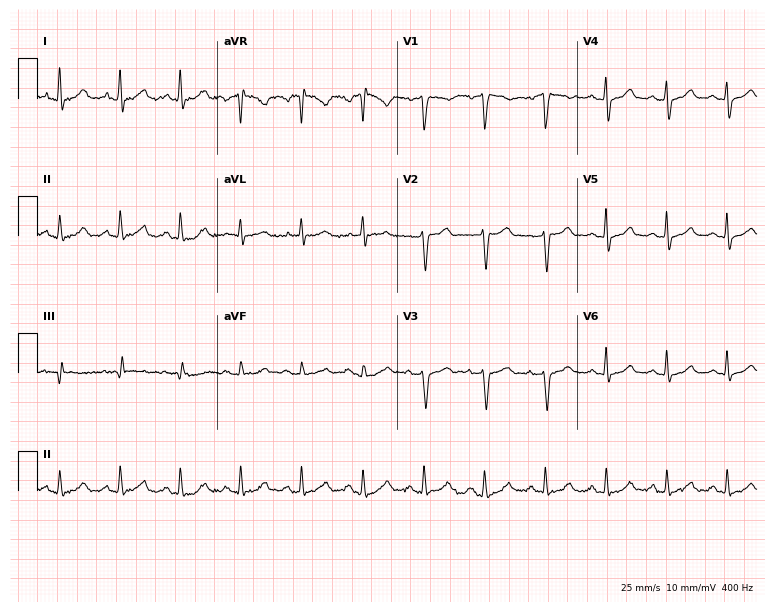
Standard 12-lead ECG recorded from a female patient, 41 years old (7.3-second recording at 400 Hz). Read as a normal ECG.